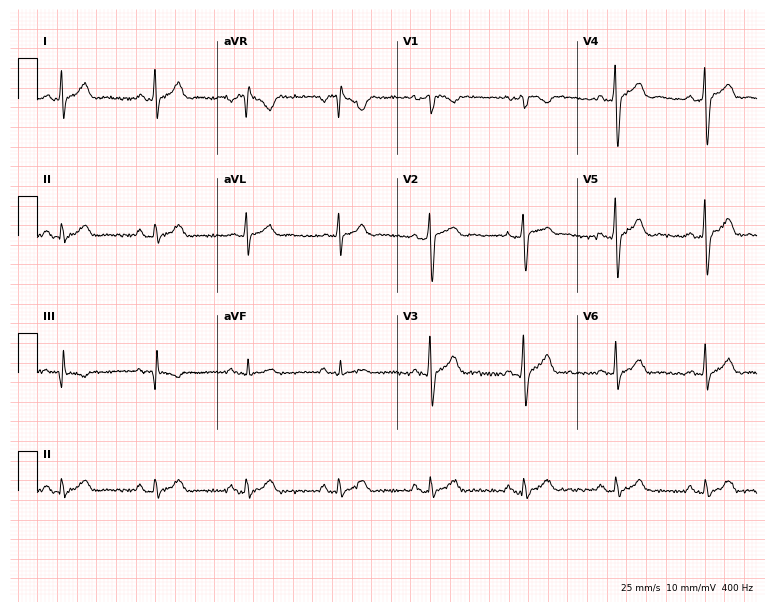
12-lead ECG from a male patient, 47 years old. Recorded interpretation: within normal limits.